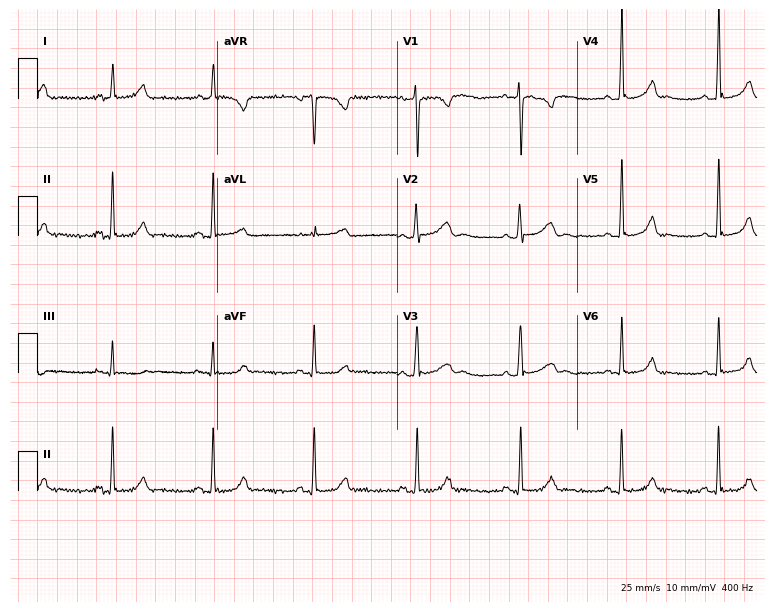
Resting 12-lead electrocardiogram (7.3-second recording at 400 Hz). Patient: a female, 34 years old. None of these six findings is recorded: first-degree AV block, right bundle branch block (RBBB), left bundle branch block (LBBB), sinus bradycardia, atrial fibrillation (AF), sinus tachycardia.